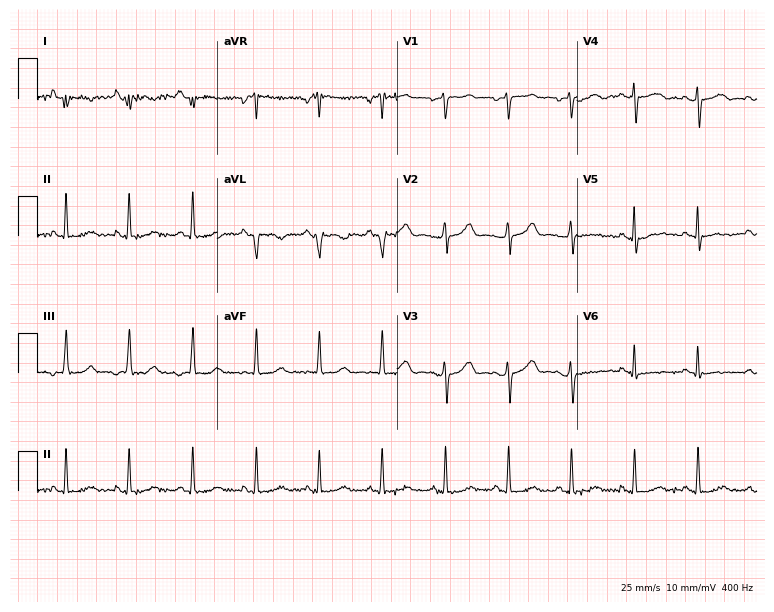
12-lead ECG (7.3-second recording at 400 Hz) from a 59-year-old female. Screened for six findings — first-degree AV block, right bundle branch block (RBBB), left bundle branch block (LBBB), sinus bradycardia, atrial fibrillation (AF), sinus tachycardia — none is recorded. Only these six findings were labelled.